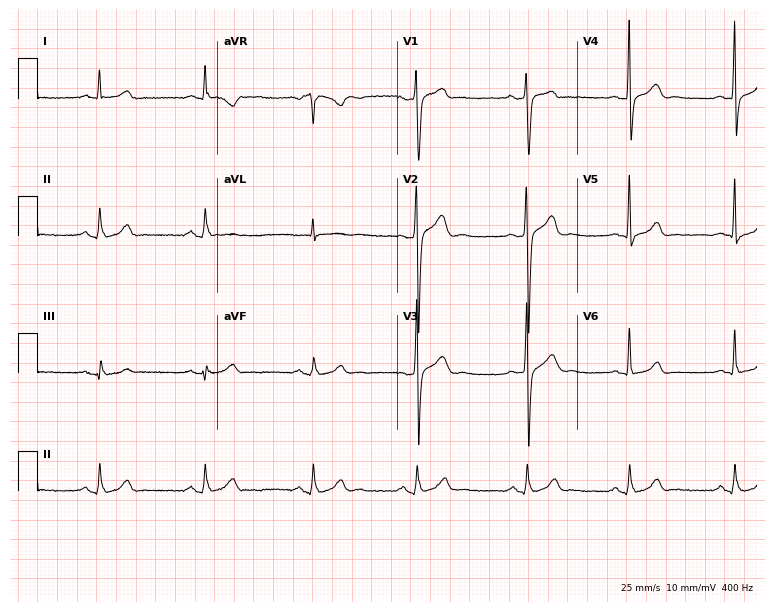
12-lead ECG from a 38-year-old male patient. Labelled as a normal ECG.